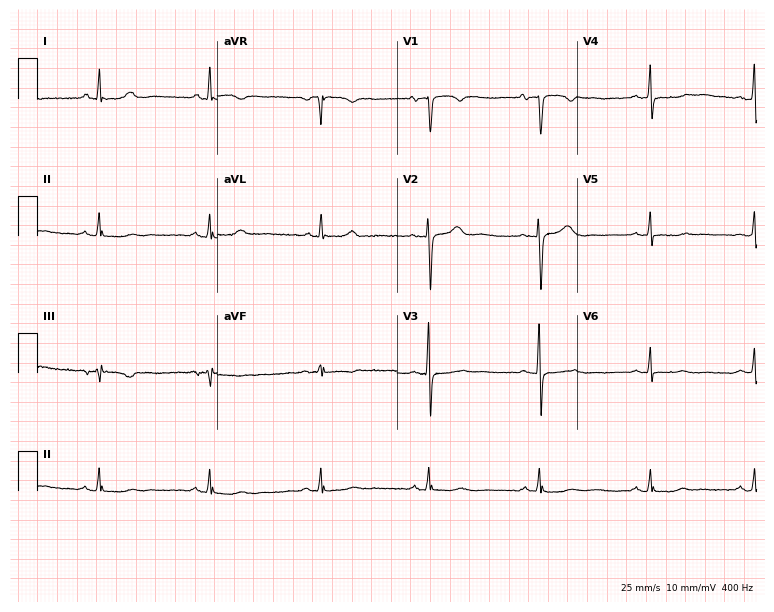
Electrocardiogram (7.3-second recording at 400 Hz), a 56-year-old female. Overall reading on record: normal ECG.